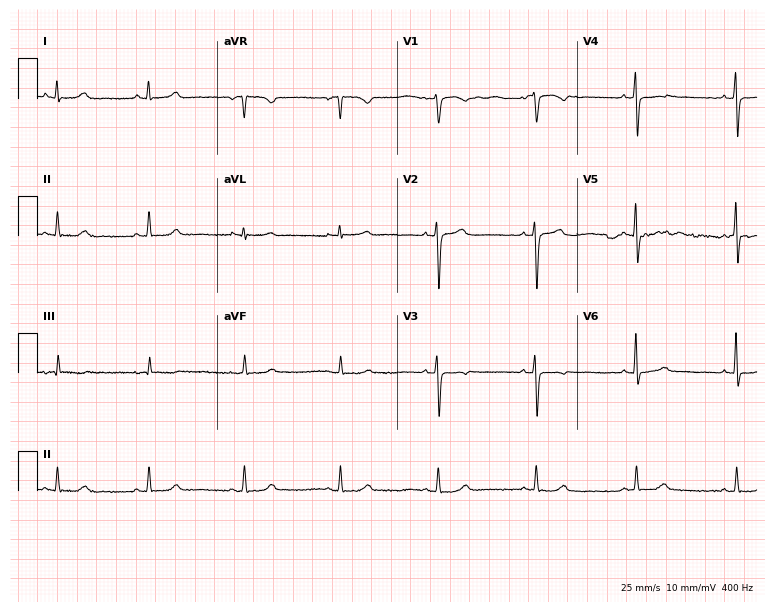
Resting 12-lead electrocardiogram (7.3-second recording at 400 Hz). Patient: a female, 58 years old. None of these six findings is recorded: first-degree AV block, right bundle branch block, left bundle branch block, sinus bradycardia, atrial fibrillation, sinus tachycardia. Only these six findings were labelled.